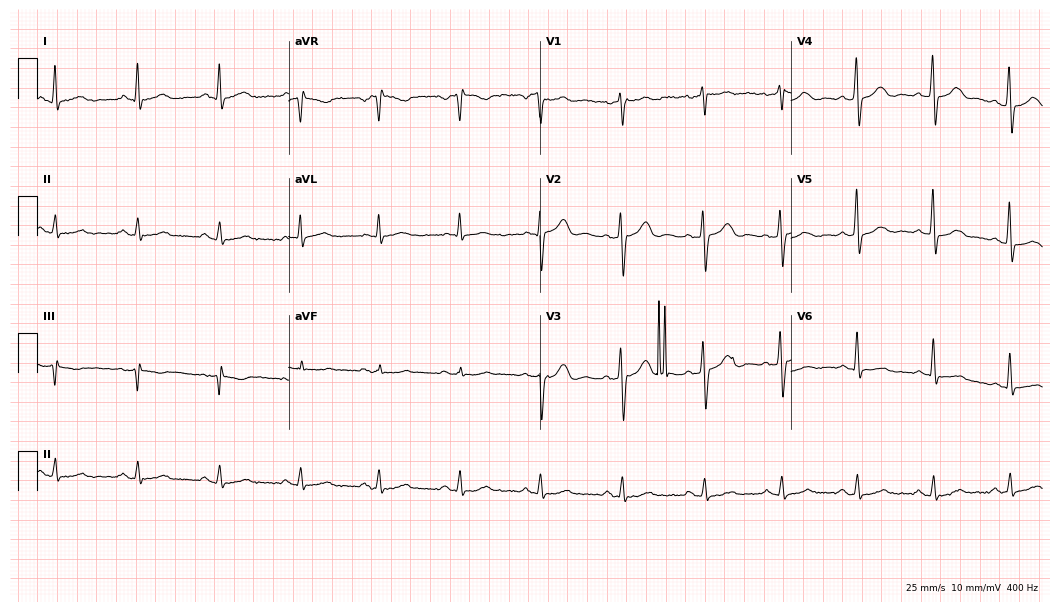
12-lead ECG (10.2-second recording at 400 Hz) from a 45-year-old male patient. Labelled as a normal ECG.